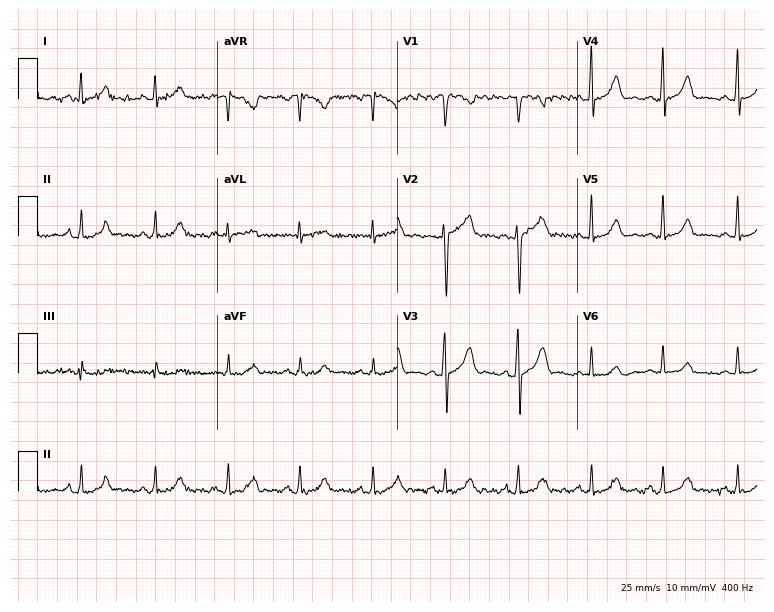
12-lead ECG from a female, 57 years old (7.3-second recording at 400 Hz). Recorded interpretation: within normal limits.